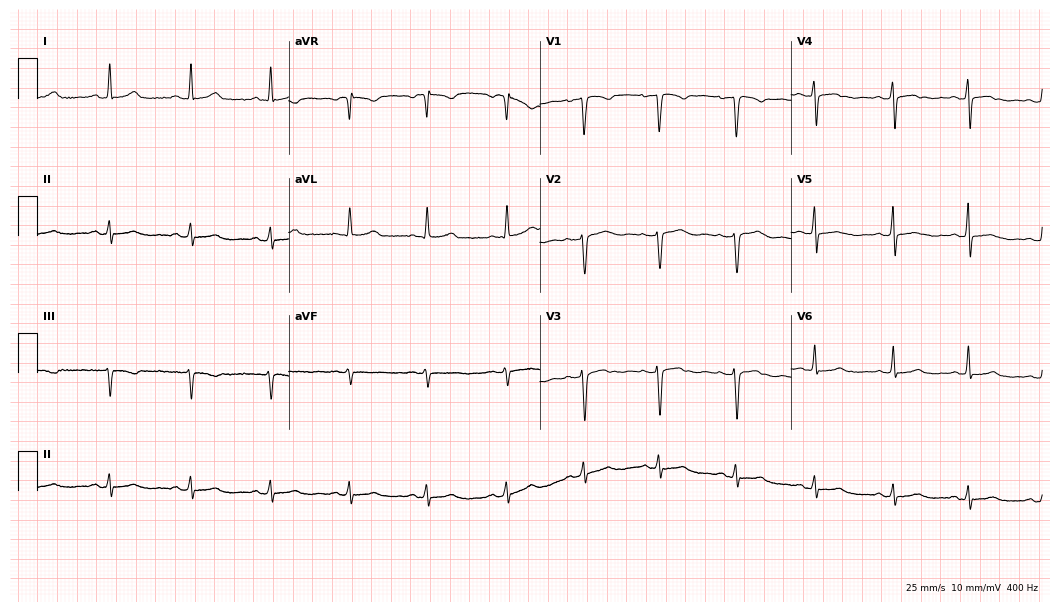
12-lead ECG from a 42-year-old female patient (10.2-second recording at 400 Hz). Recorded interpretation: within normal limits.